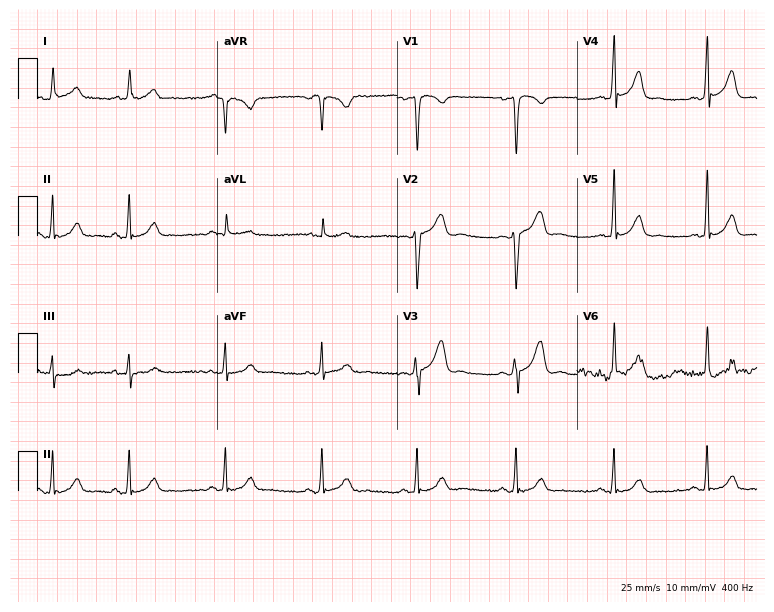
Resting 12-lead electrocardiogram. Patient: a man, 29 years old. None of these six findings is recorded: first-degree AV block, right bundle branch block, left bundle branch block, sinus bradycardia, atrial fibrillation, sinus tachycardia. Other findings, if any, are not listed.